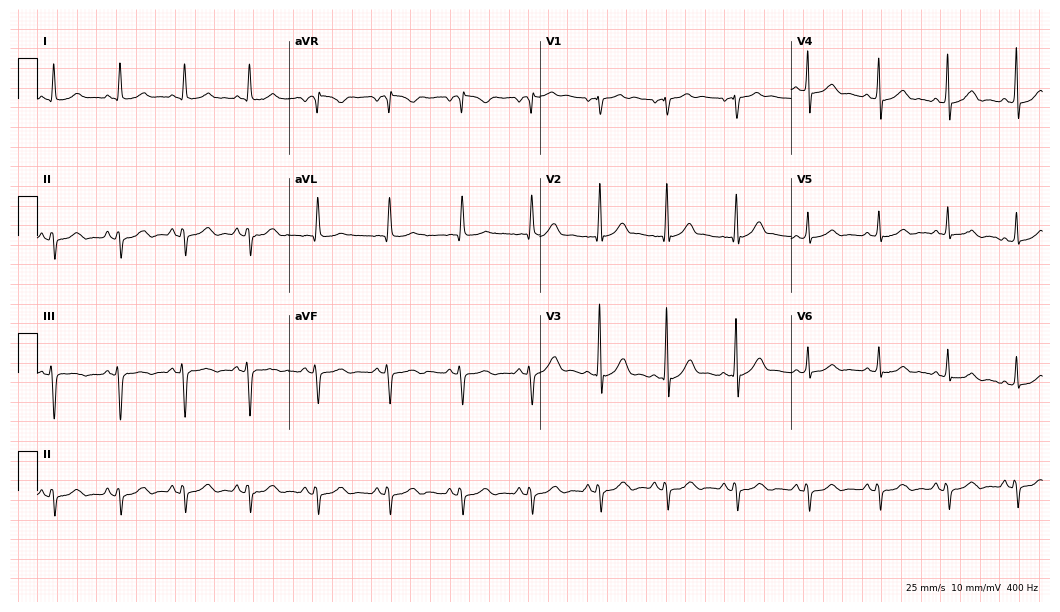
12-lead ECG from a male patient, 68 years old. Screened for six findings — first-degree AV block, right bundle branch block, left bundle branch block, sinus bradycardia, atrial fibrillation, sinus tachycardia — none is recorded. Only these six findings were labelled.